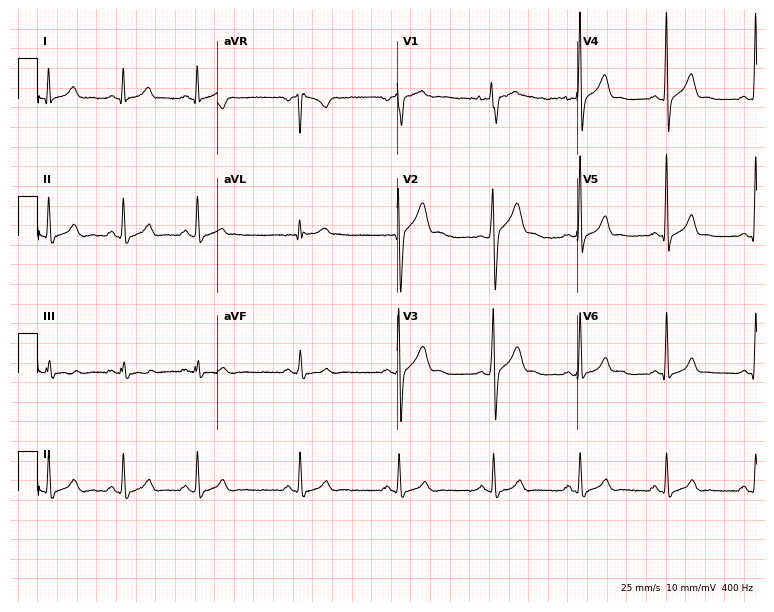
Standard 12-lead ECG recorded from a male patient, 24 years old. None of these six findings is recorded: first-degree AV block, right bundle branch block (RBBB), left bundle branch block (LBBB), sinus bradycardia, atrial fibrillation (AF), sinus tachycardia.